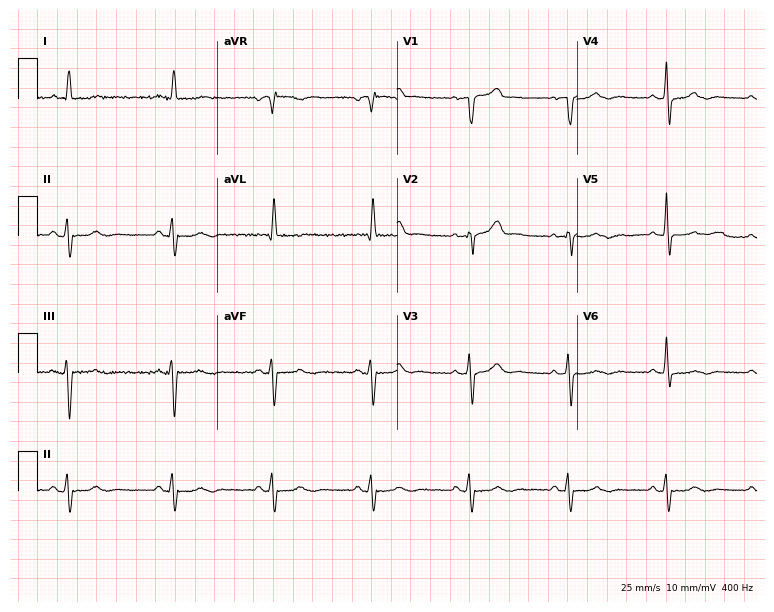
12-lead ECG from a 79-year-old male patient (7.3-second recording at 400 Hz). No first-degree AV block, right bundle branch block (RBBB), left bundle branch block (LBBB), sinus bradycardia, atrial fibrillation (AF) or sinus tachycardia recorded for this tracing. Findings outside these six are not listed.